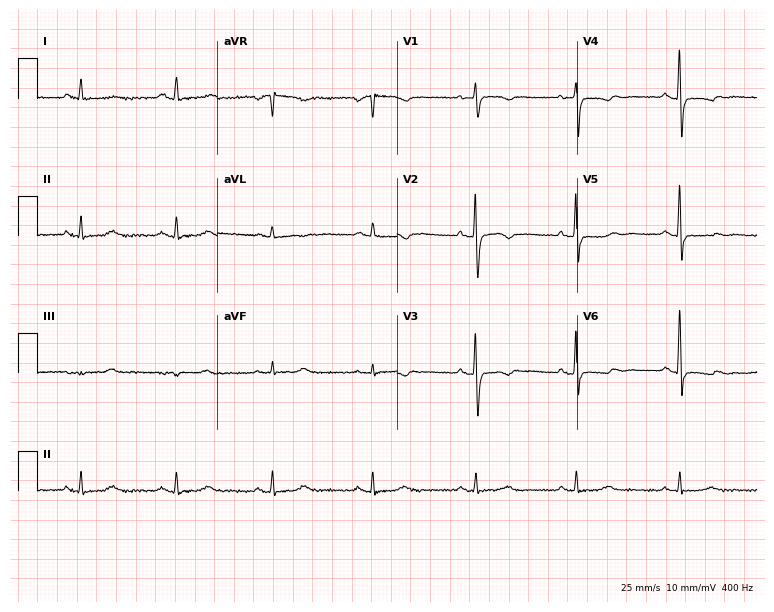
12-lead ECG from a woman, 74 years old. Screened for six findings — first-degree AV block, right bundle branch block (RBBB), left bundle branch block (LBBB), sinus bradycardia, atrial fibrillation (AF), sinus tachycardia — none is recorded.